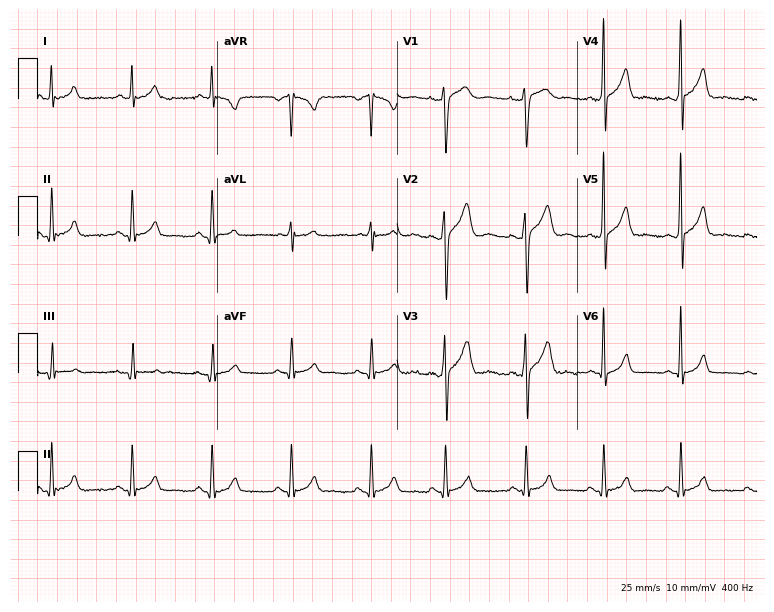
ECG — a male patient, 24 years old. Screened for six findings — first-degree AV block, right bundle branch block, left bundle branch block, sinus bradycardia, atrial fibrillation, sinus tachycardia — none is recorded.